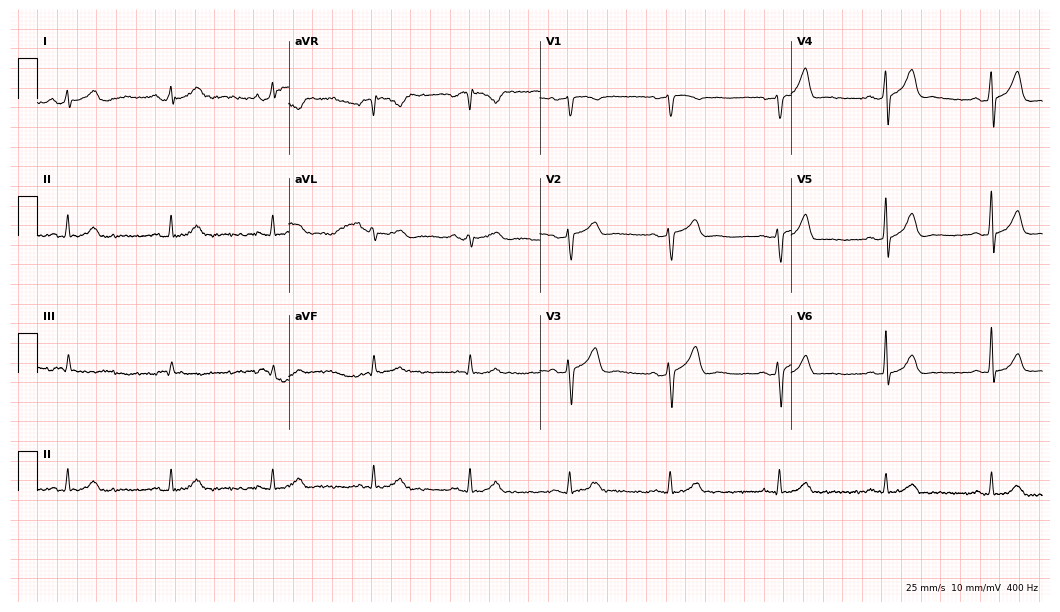
ECG (10.2-second recording at 400 Hz) — a male, 58 years old. Labelled as a normal ECG.